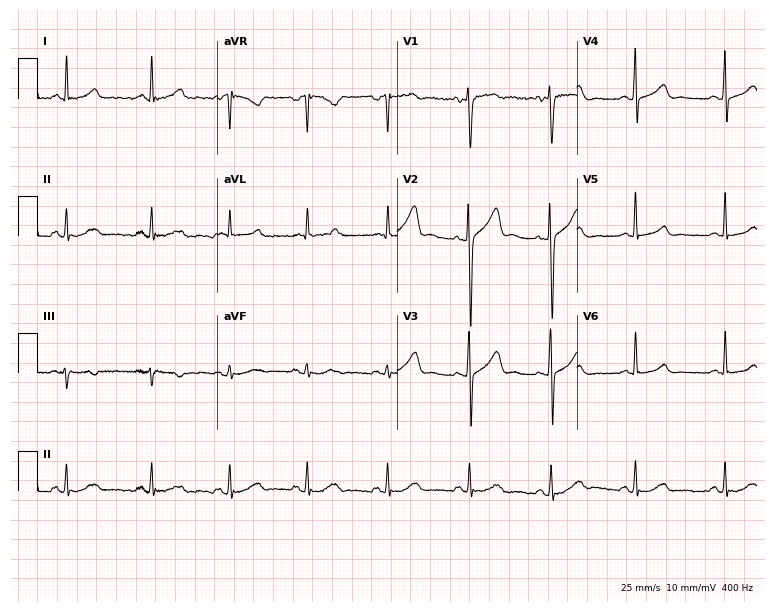
Electrocardiogram, a woman, 37 years old. Of the six screened findings (first-degree AV block, right bundle branch block, left bundle branch block, sinus bradycardia, atrial fibrillation, sinus tachycardia), none is recorded. Only these six findings were labelled.